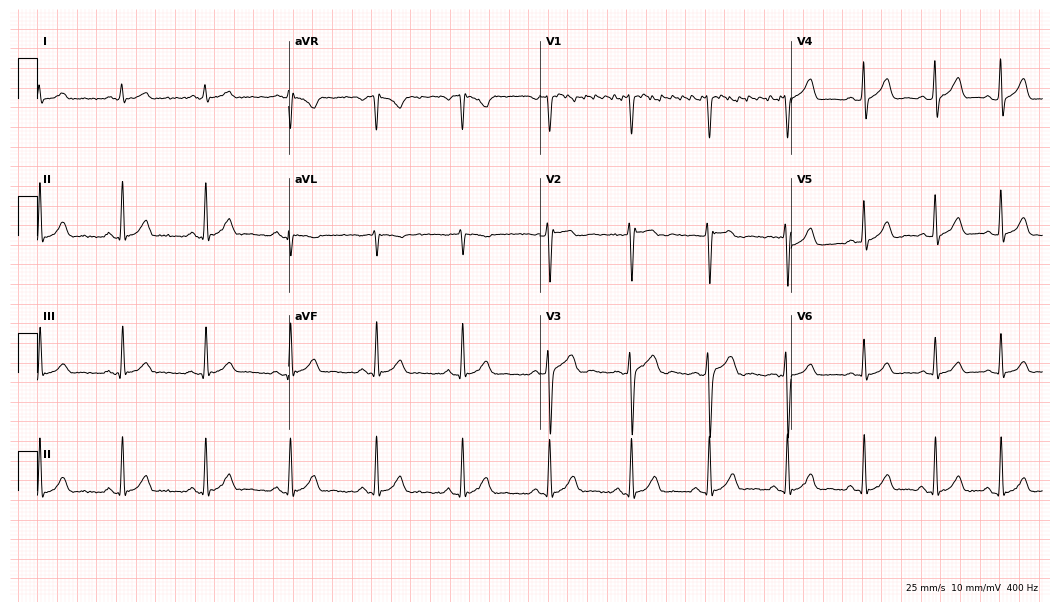
Electrocardiogram, a male patient, 32 years old. Overall reading on record: normal ECG.